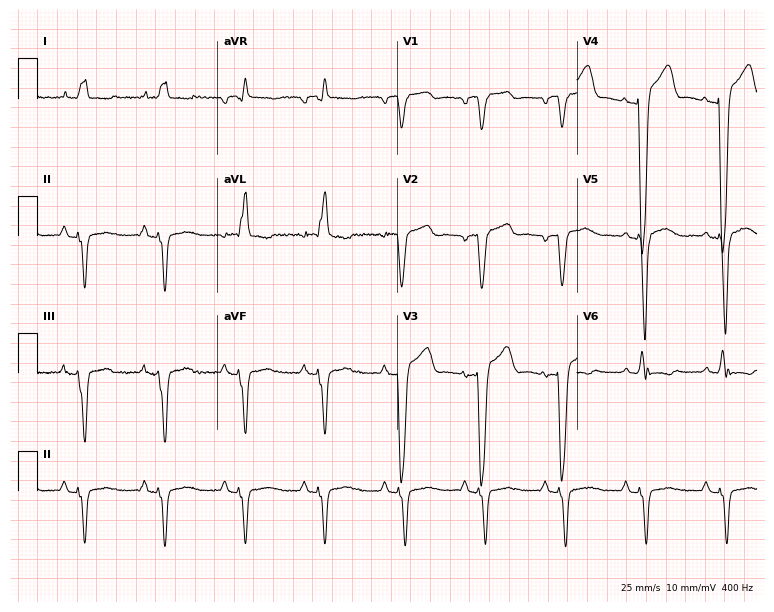
12-lead ECG from a female patient, 78 years old. Shows left bundle branch block.